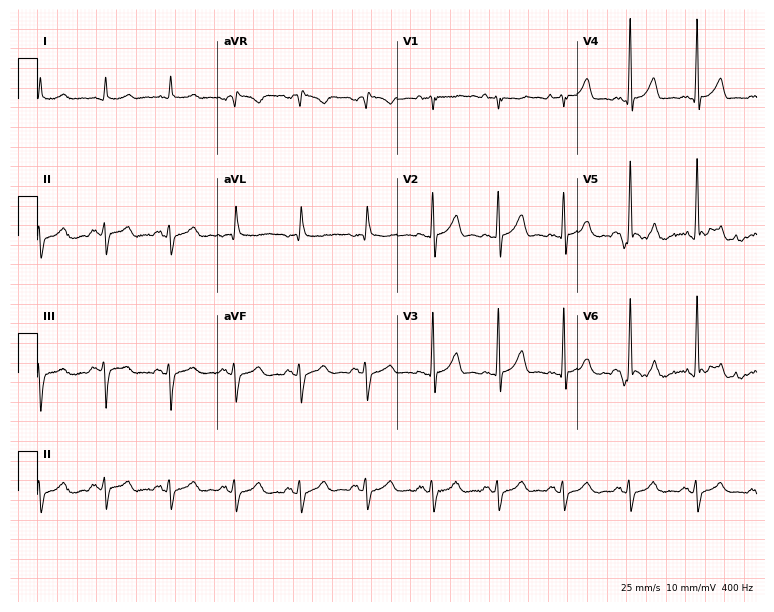
12-lead ECG from a male patient, 70 years old (7.3-second recording at 400 Hz). Recorded interpretation: within normal limits.